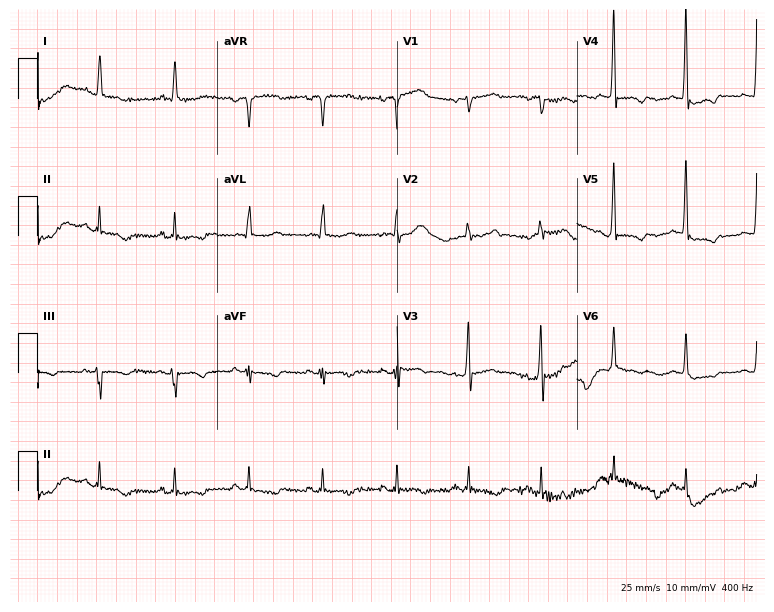
12-lead ECG from a female patient, 68 years old (7.3-second recording at 400 Hz). No first-degree AV block, right bundle branch block, left bundle branch block, sinus bradycardia, atrial fibrillation or sinus tachycardia recorded for this tracing. Other findings, if any, are not listed.